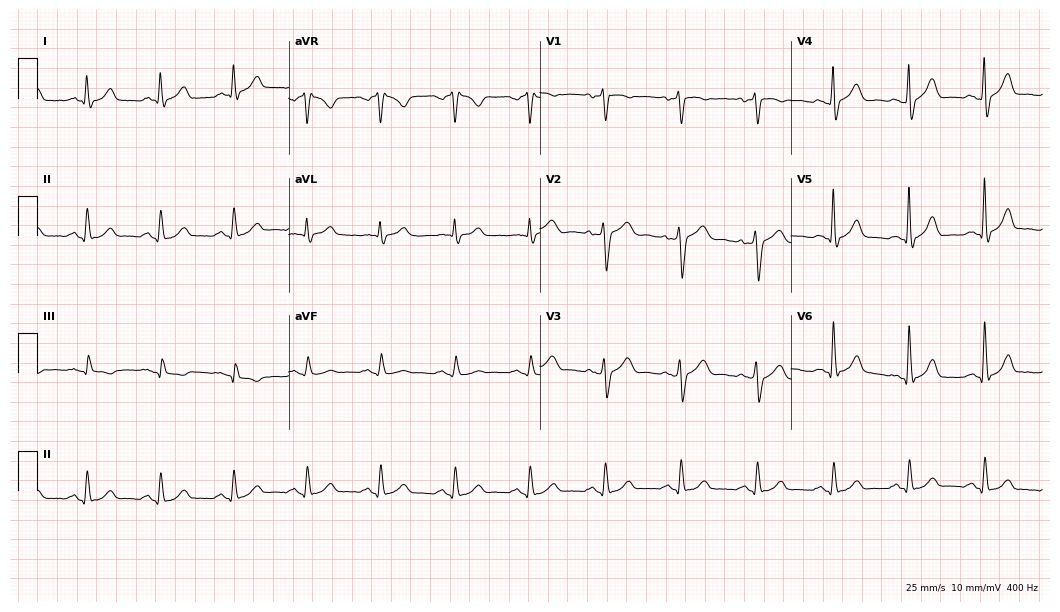
Standard 12-lead ECG recorded from a male, 56 years old (10.2-second recording at 400 Hz). Read as a normal ECG.